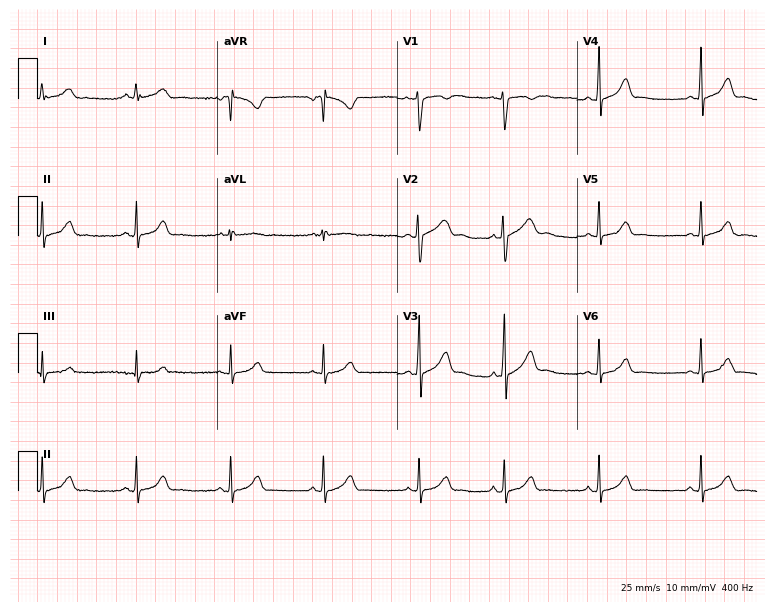
Electrocardiogram (7.3-second recording at 400 Hz), a female patient, 25 years old. Overall reading on record: normal ECG.